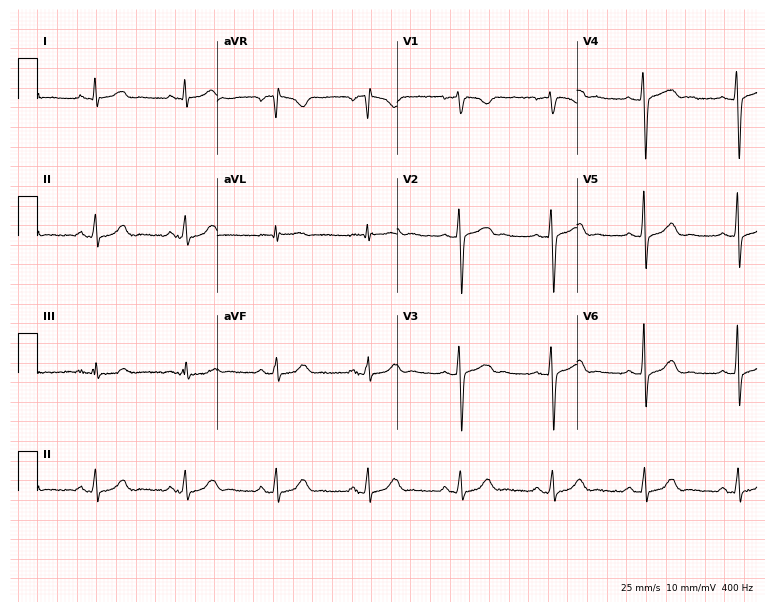
Electrocardiogram (7.3-second recording at 400 Hz), a 39-year-old woman. Of the six screened findings (first-degree AV block, right bundle branch block (RBBB), left bundle branch block (LBBB), sinus bradycardia, atrial fibrillation (AF), sinus tachycardia), none is recorded.